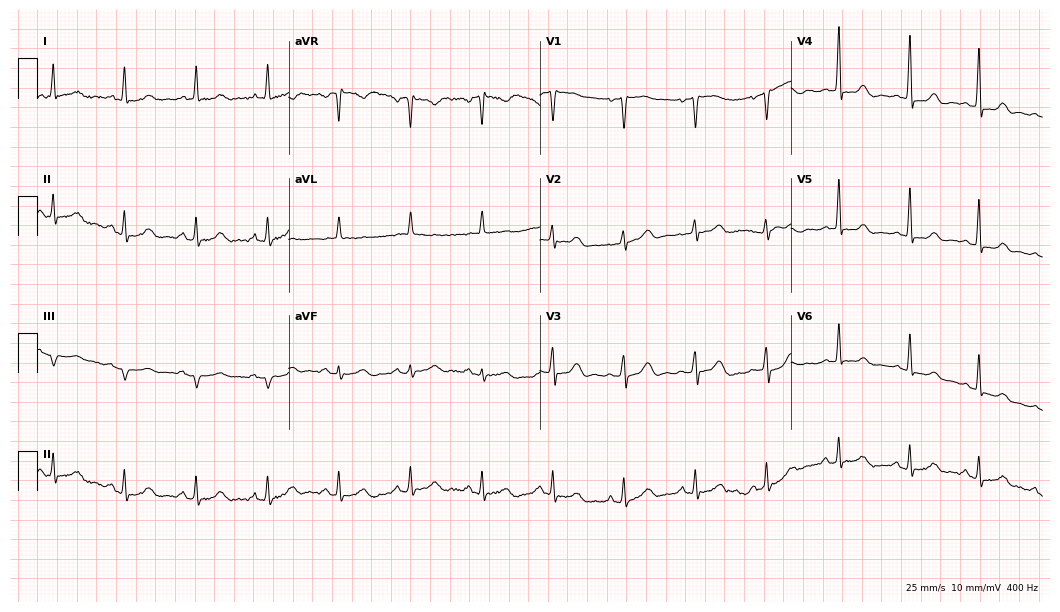
ECG — a woman, 68 years old. Labelled as a normal ECG.